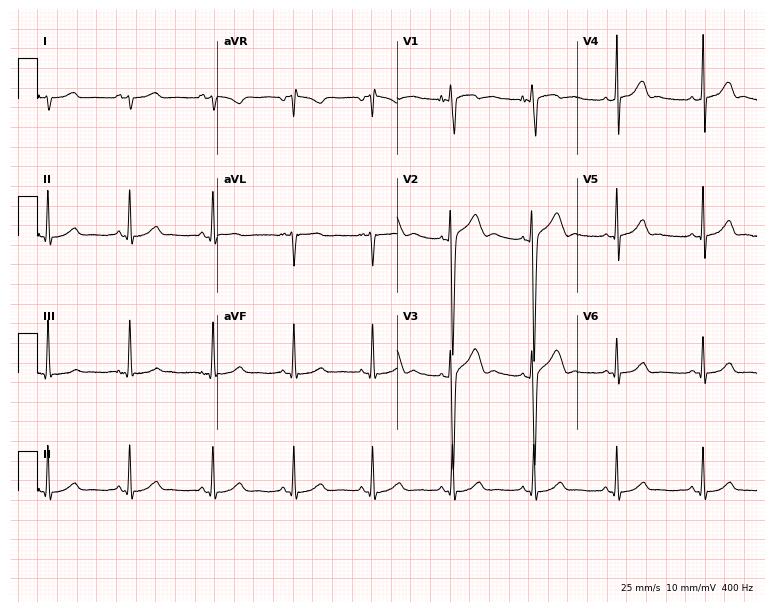
Standard 12-lead ECG recorded from a male, 21 years old (7.3-second recording at 400 Hz). None of these six findings is recorded: first-degree AV block, right bundle branch block, left bundle branch block, sinus bradycardia, atrial fibrillation, sinus tachycardia. Other findings, if any, are not listed.